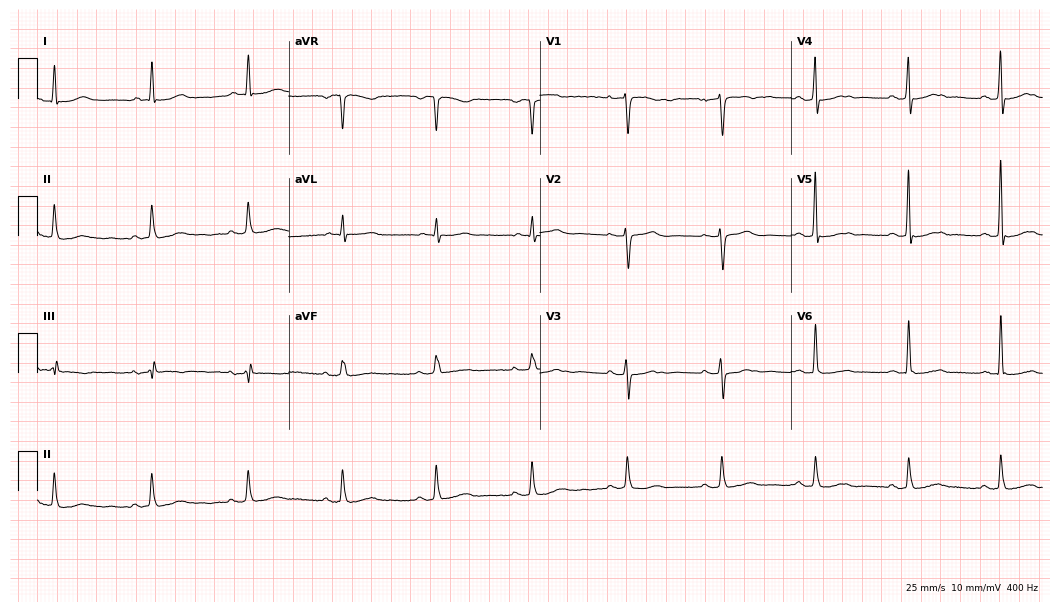
Resting 12-lead electrocardiogram (10.2-second recording at 400 Hz). Patient: a 78-year-old female. None of these six findings is recorded: first-degree AV block, right bundle branch block, left bundle branch block, sinus bradycardia, atrial fibrillation, sinus tachycardia. Findings outside these six are not listed.